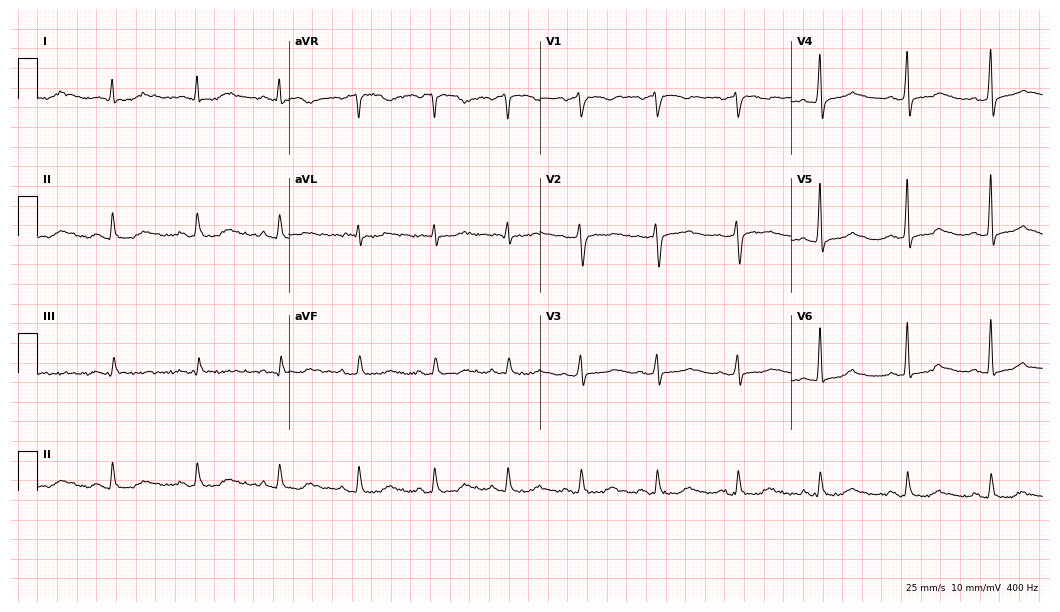
Electrocardiogram, a 40-year-old male. Of the six screened findings (first-degree AV block, right bundle branch block, left bundle branch block, sinus bradycardia, atrial fibrillation, sinus tachycardia), none is recorded. Only these six findings were labelled.